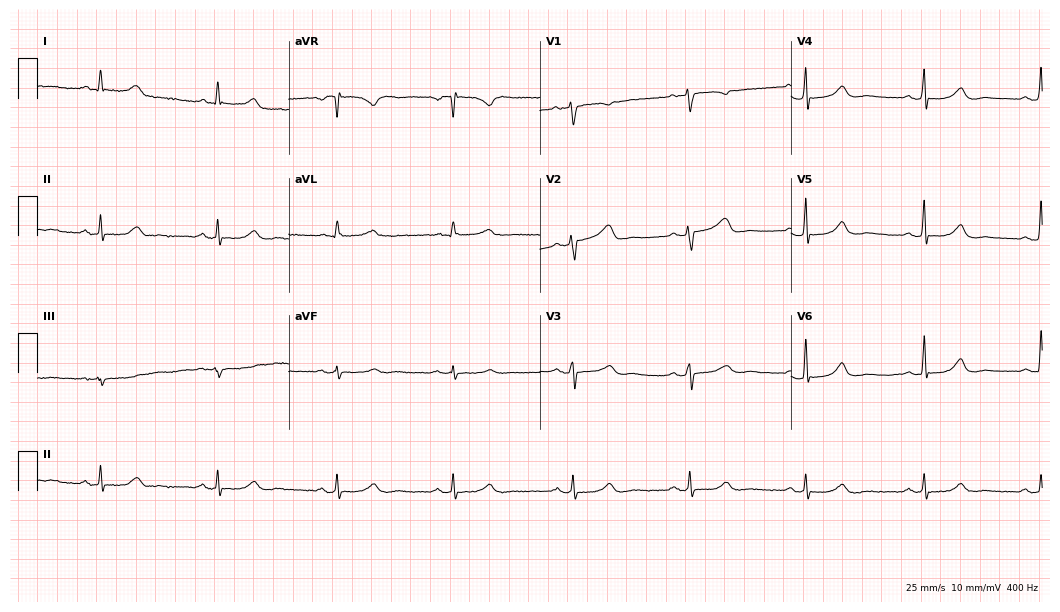
ECG — a 69-year-old female. Labelled as a normal ECG.